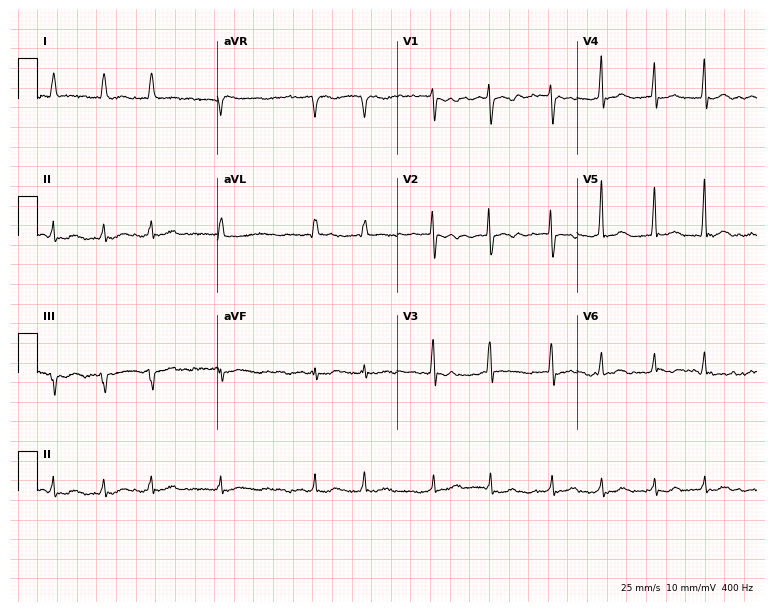
ECG (7.3-second recording at 400 Hz) — an 83-year-old female patient. Findings include atrial fibrillation.